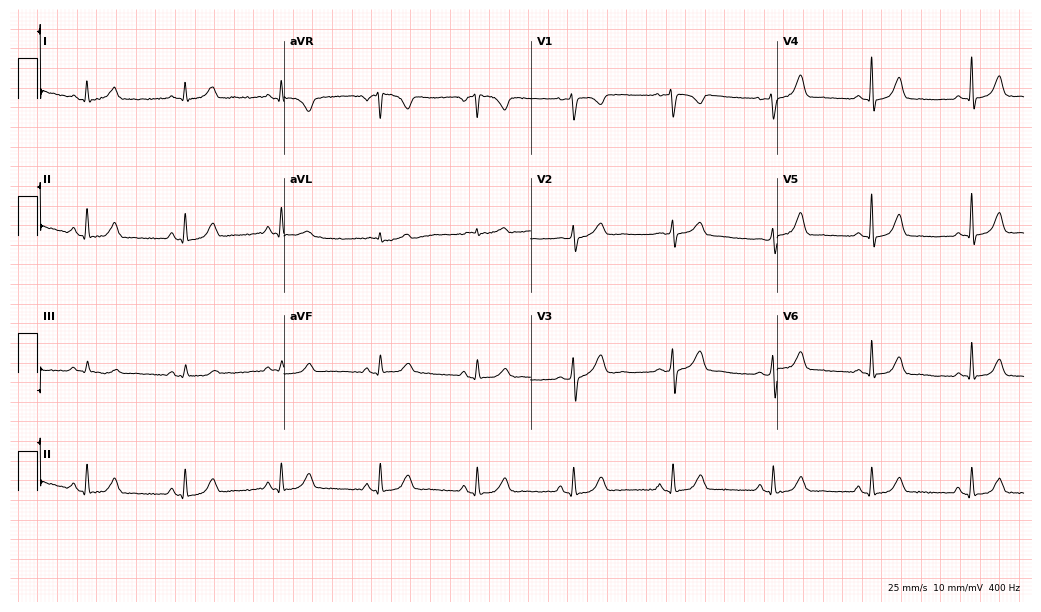
ECG — a woman, 48 years old. Screened for six findings — first-degree AV block, right bundle branch block, left bundle branch block, sinus bradycardia, atrial fibrillation, sinus tachycardia — none is recorded.